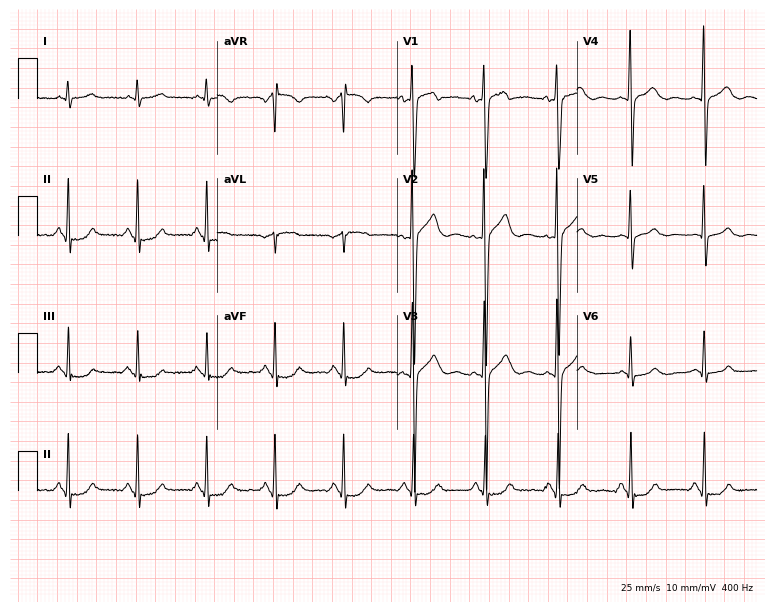
12-lead ECG from a man, 61 years old. No first-degree AV block, right bundle branch block (RBBB), left bundle branch block (LBBB), sinus bradycardia, atrial fibrillation (AF) or sinus tachycardia recorded for this tracing.